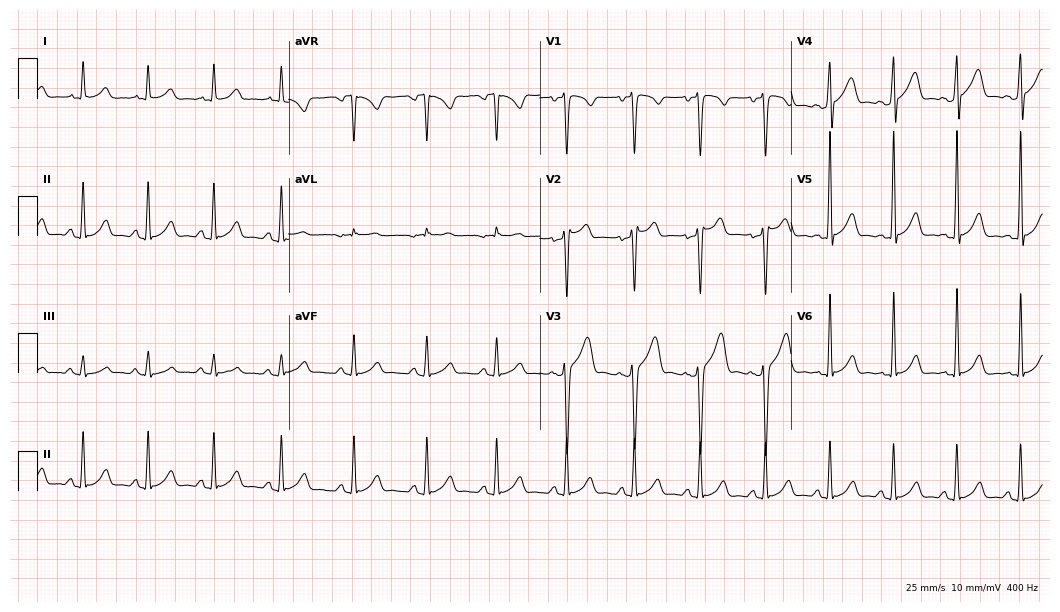
Standard 12-lead ECG recorded from a 35-year-old man. None of these six findings is recorded: first-degree AV block, right bundle branch block, left bundle branch block, sinus bradycardia, atrial fibrillation, sinus tachycardia. Findings outside these six are not listed.